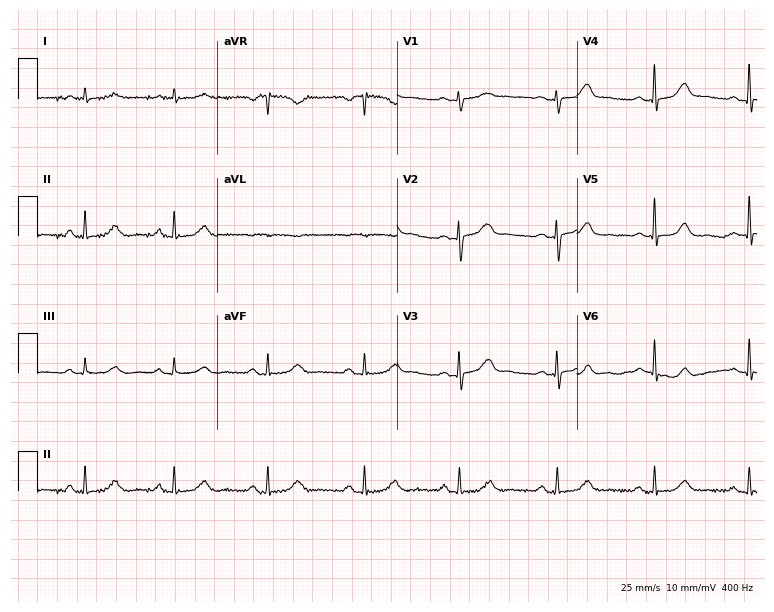
Resting 12-lead electrocardiogram (7.3-second recording at 400 Hz). Patient: a female, 40 years old. None of these six findings is recorded: first-degree AV block, right bundle branch block, left bundle branch block, sinus bradycardia, atrial fibrillation, sinus tachycardia. Findings outside these six are not listed.